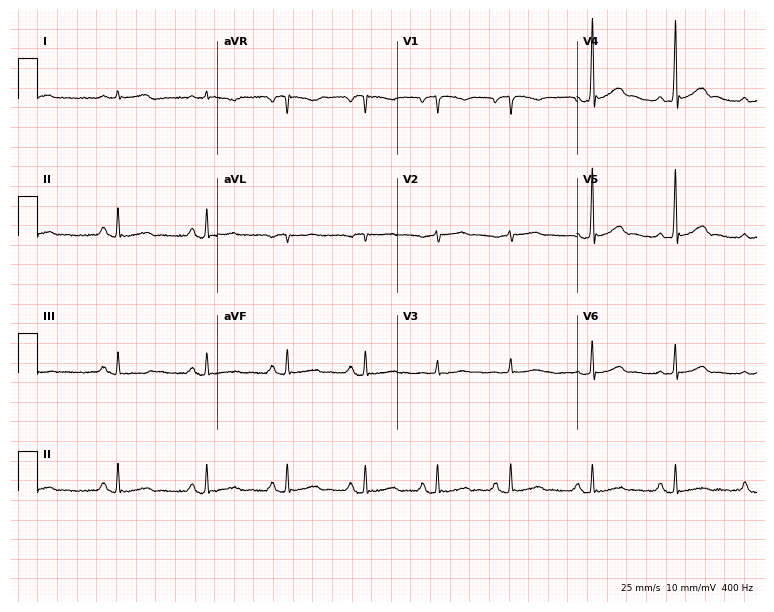
Standard 12-lead ECG recorded from a woman, 66 years old (7.3-second recording at 400 Hz). Read as a normal ECG.